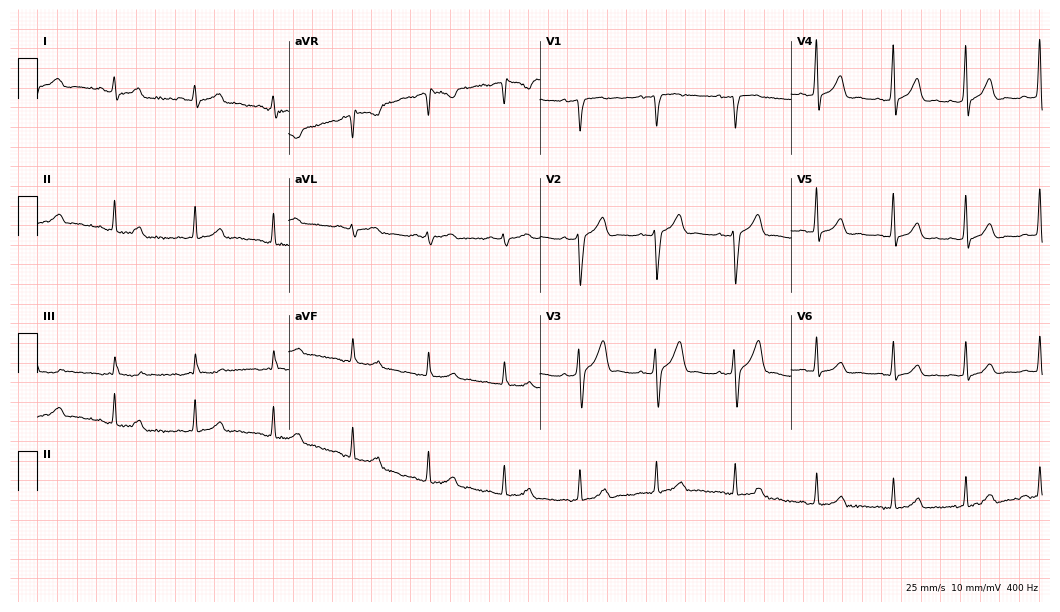
12-lead ECG from a 42-year-old male patient. Screened for six findings — first-degree AV block, right bundle branch block, left bundle branch block, sinus bradycardia, atrial fibrillation, sinus tachycardia — none is recorded.